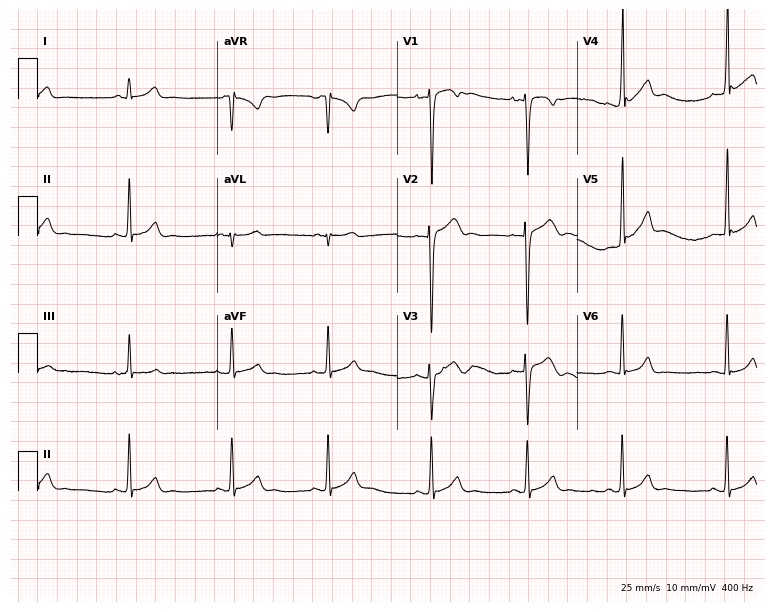
Electrocardiogram, a man, 18 years old. Overall reading on record: normal ECG.